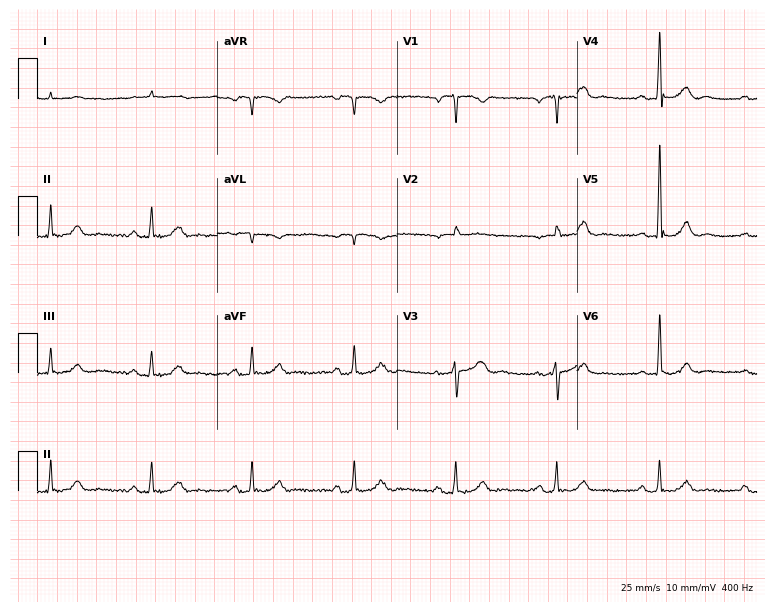
Resting 12-lead electrocardiogram (7.3-second recording at 400 Hz). Patient: an 80-year-old male. Read as a normal ECG.